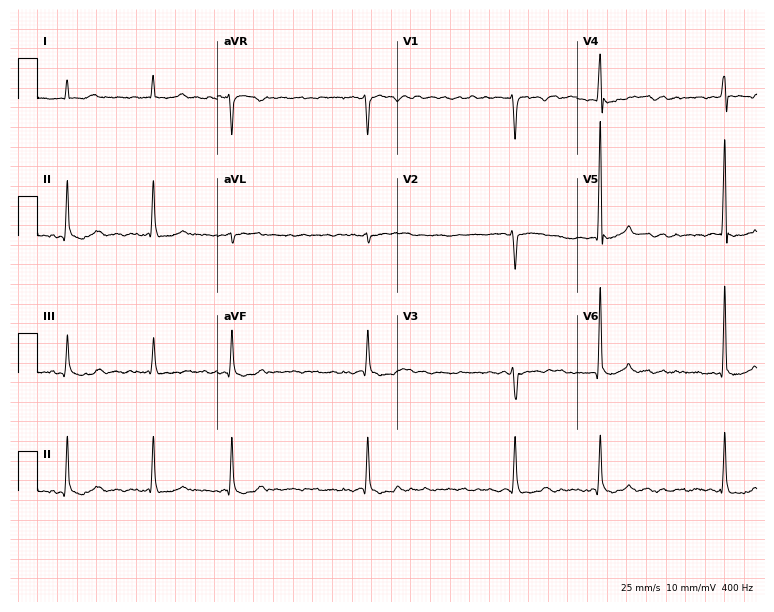
Standard 12-lead ECG recorded from a male, 53 years old. The tracing shows atrial fibrillation.